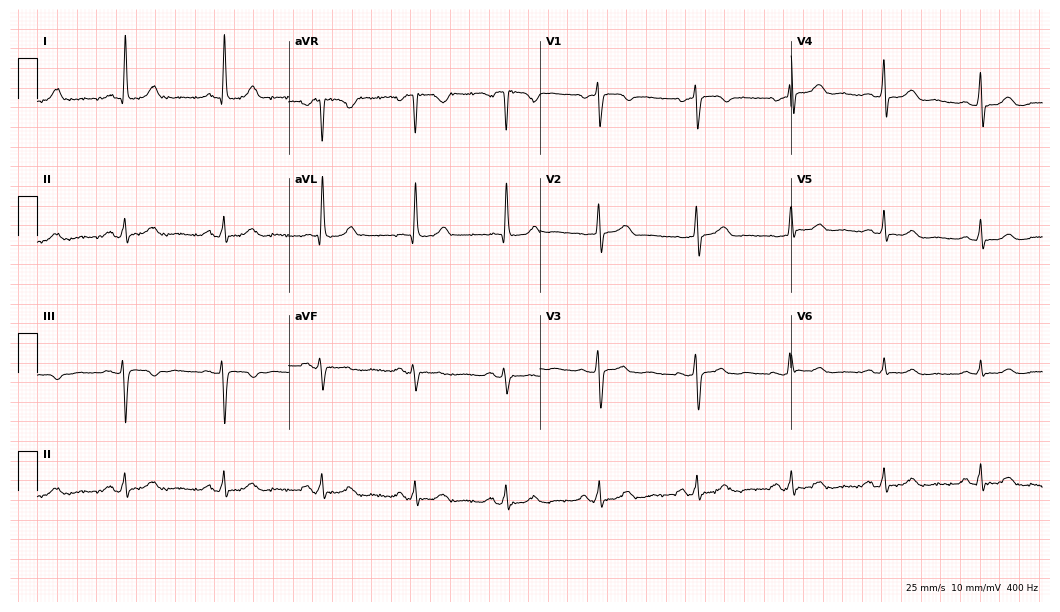
12-lead ECG (10.2-second recording at 400 Hz) from a 57-year-old female patient. Screened for six findings — first-degree AV block, right bundle branch block (RBBB), left bundle branch block (LBBB), sinus bradycardia, atrial fibrillation (AF), sinus tachycardia — none is recorded.